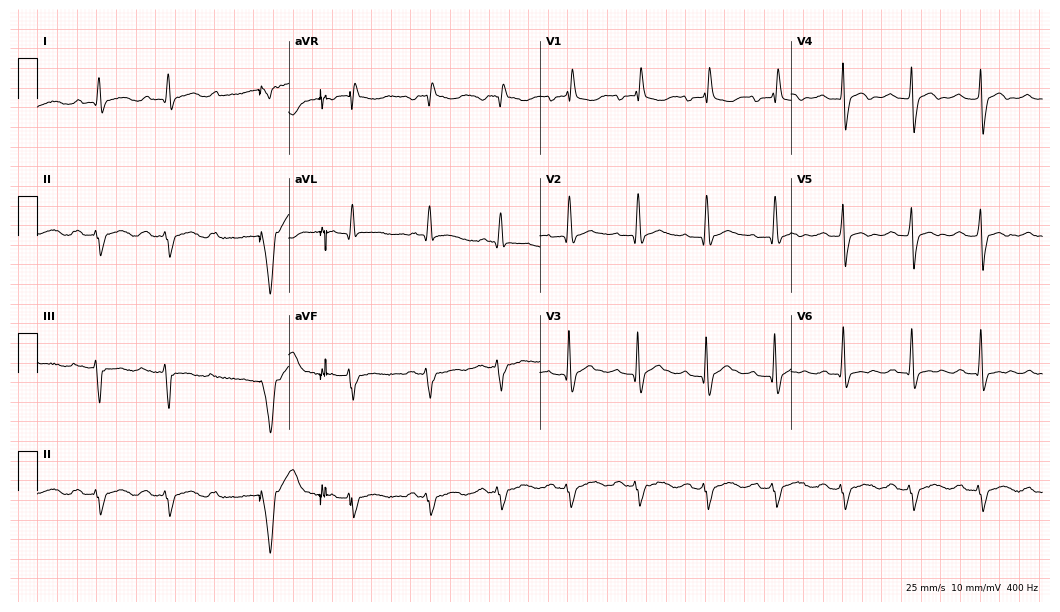
Standard 12-lead ECG recorded from a male, 80 years old (10.2-second recording at 400 Hz). None of these six findings is recorded: first-degree AV block, right bundle branch block (RBBB), left bundle branch block (LBBB), sinus bradycardia, atrial fibrillation (AF), sinus tachycardia. Other findings, if any, are not listed.